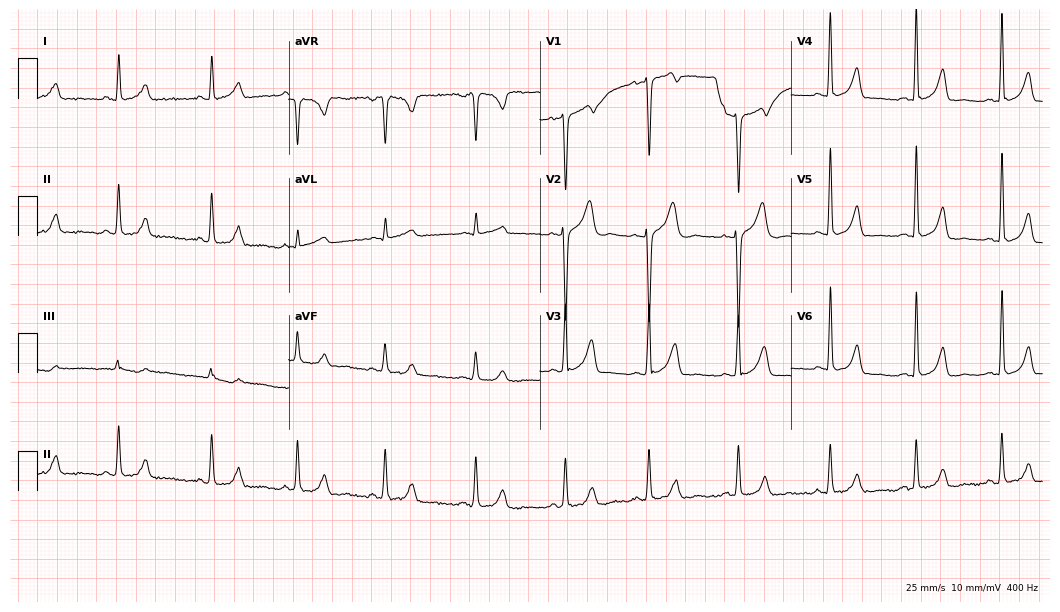
12-lead ECG from a female, 28 years old. No first-degree AV block, right bundle branch block, left bundle branch block, sinus bradycardia, atrial fibrillation or sinus tachycardia recorded for this tracing. Other findings, if any, are not listed.